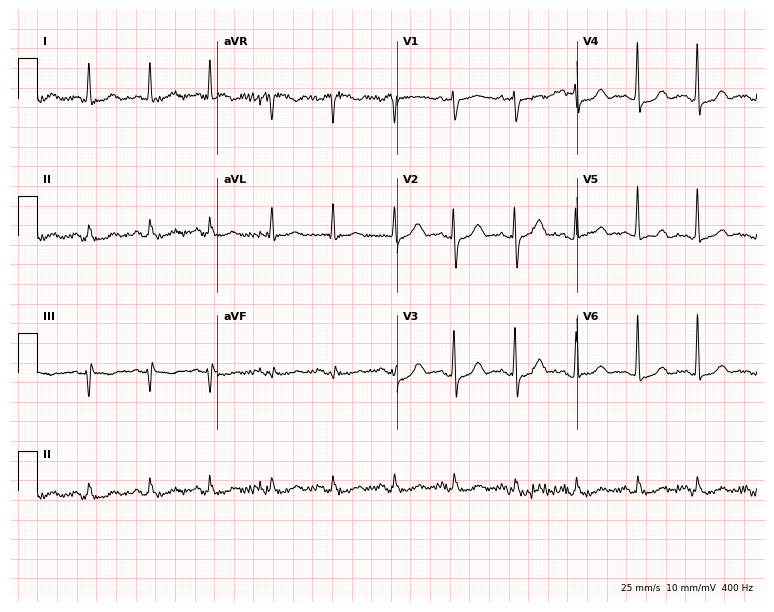
12-lead ECG from an 83-year-old male patient. No first-degree AV block, right bundle branch block, left bundle branch block, sinus bradycardia, atrial fibrillation or sinus tachycardia recorded for this tracing.